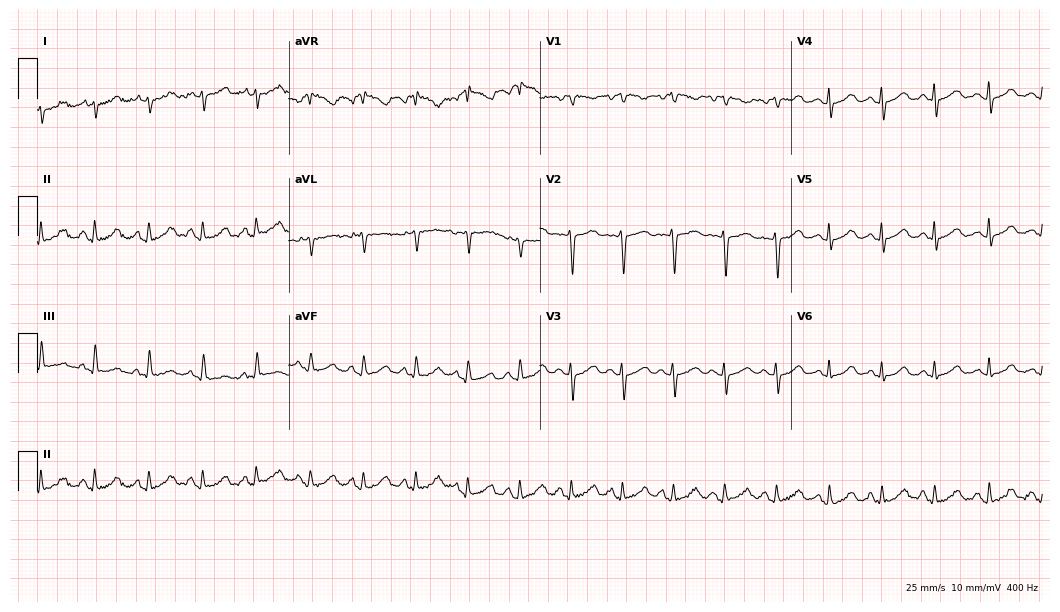
12-lead ECG from a woman, 35 years old. Shows sinus tachycardia (a sinus rate of 100 beats per minute or more).